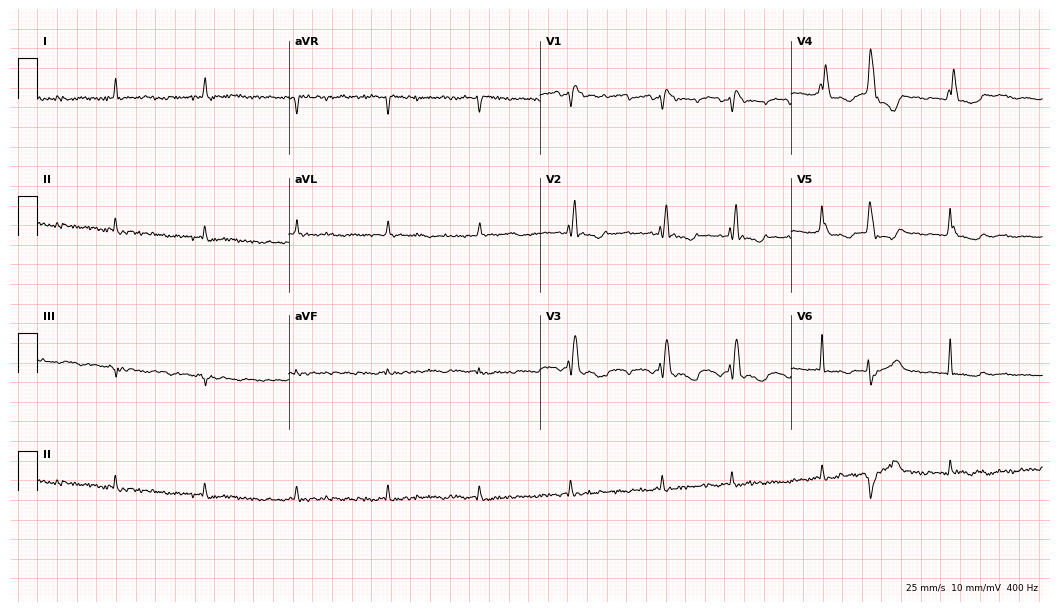
12-lead ECG from a 79-year-old woman. Screened for six findings — first-degree AV block, right bundle branch block (RBBB), left bundle branch block (LBBB), sinus bradycardia, atrial fibrillation (AF), sinus tachycardia — none is recorded.